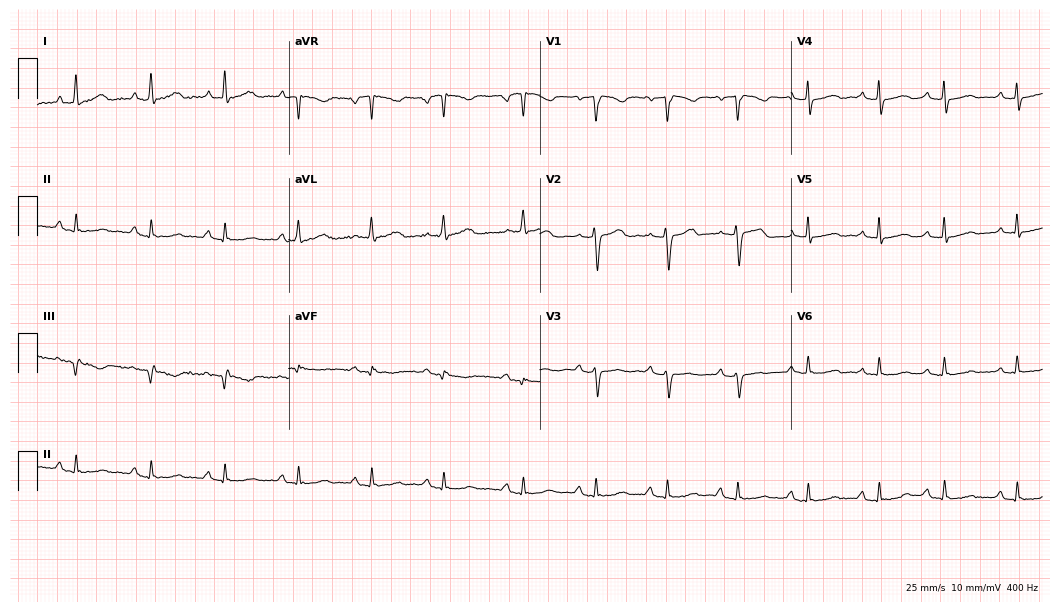
Resting 12-lead electrocardiogram. Patient: a woman, 70 years old. None of these six findings is recorded: first-degree AV block, right bundle branch block, left bundle branch block, sinus bradycardia, atrial fibrillation, sinus tachycardia.